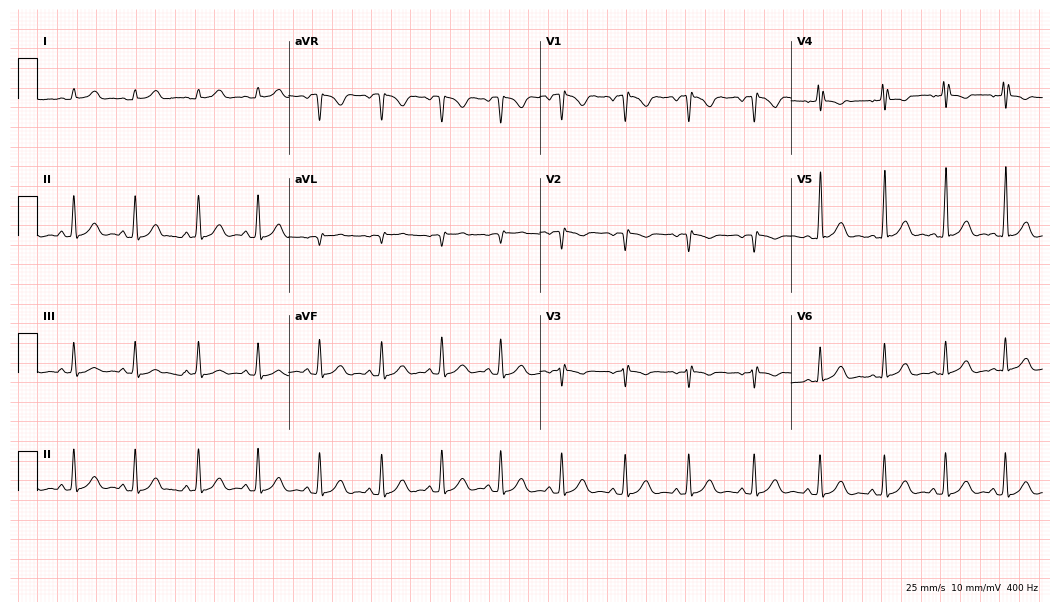
Standard 12-lead ECG recorded from a 32-year-old female patient. None of these six findings is recorded: first-degree AV block, right bundle branch block, left bundle branch block, sinus bradycardia, atrial fibrillation, sinus tachycardia.